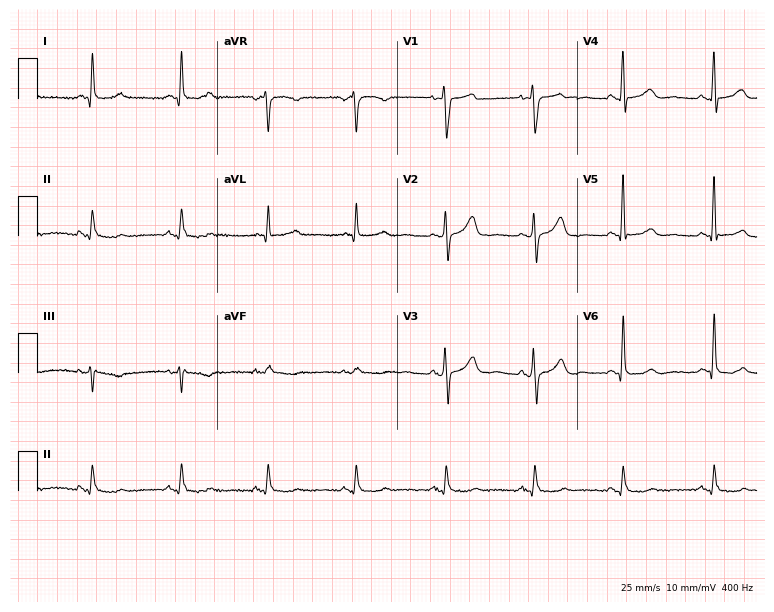
12-lead ECG from a 69-year-old male patient. Screened for six findings — first-degree AV block, right bundle branch block, left bundle branch block, sinus bradycardia, atrial fibrillation, sinus tachycardia — none is recorded.